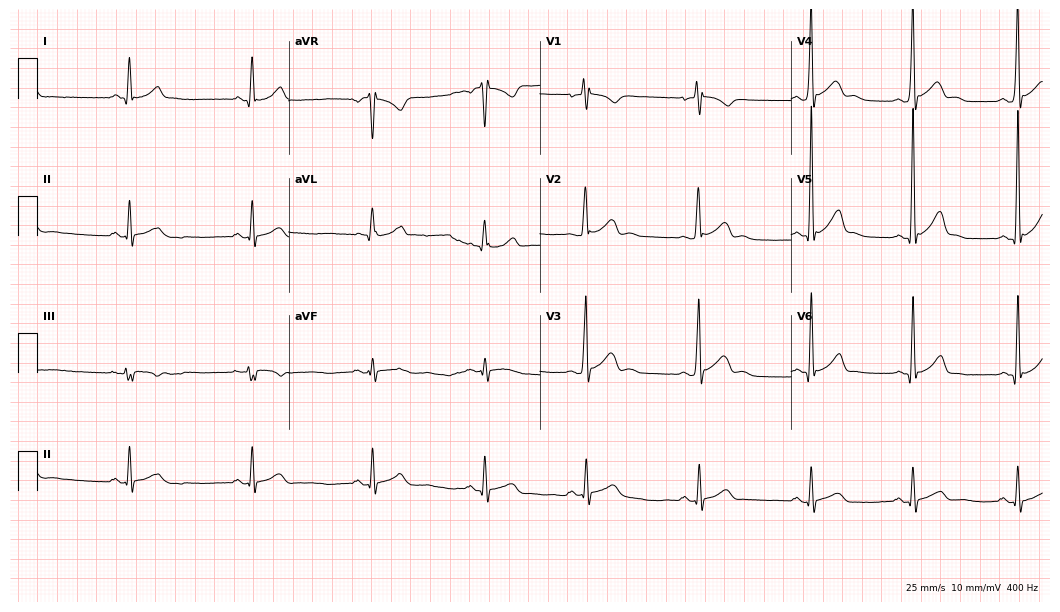
Standard 12-lead ECG recorded from a male, 26 years old (10.2-second recording at 400 Hz). None of these six findings is recorded: first-degree AV block, right bundle branch block, left bundle branch block, sinus bradycardia, atrial fibrillation, sinus tachycardia.